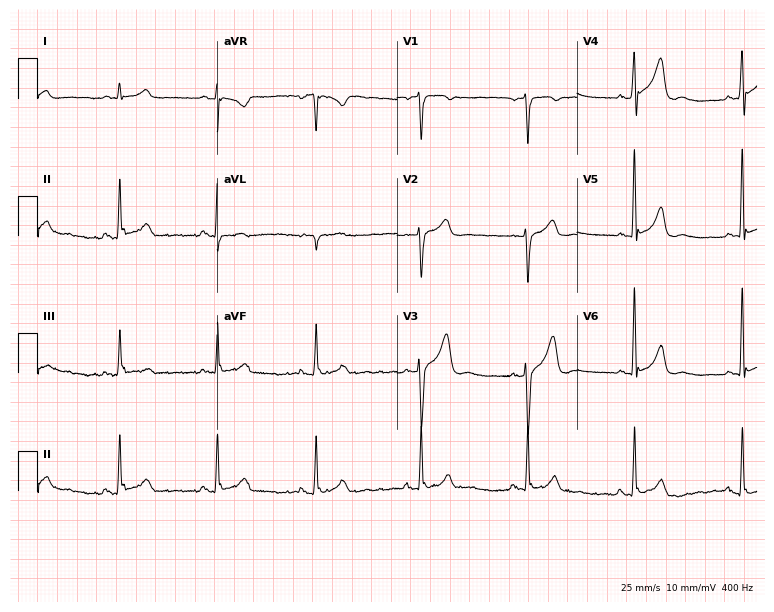
ECG — a man, 44 years old. Labelled as a normal ECG.